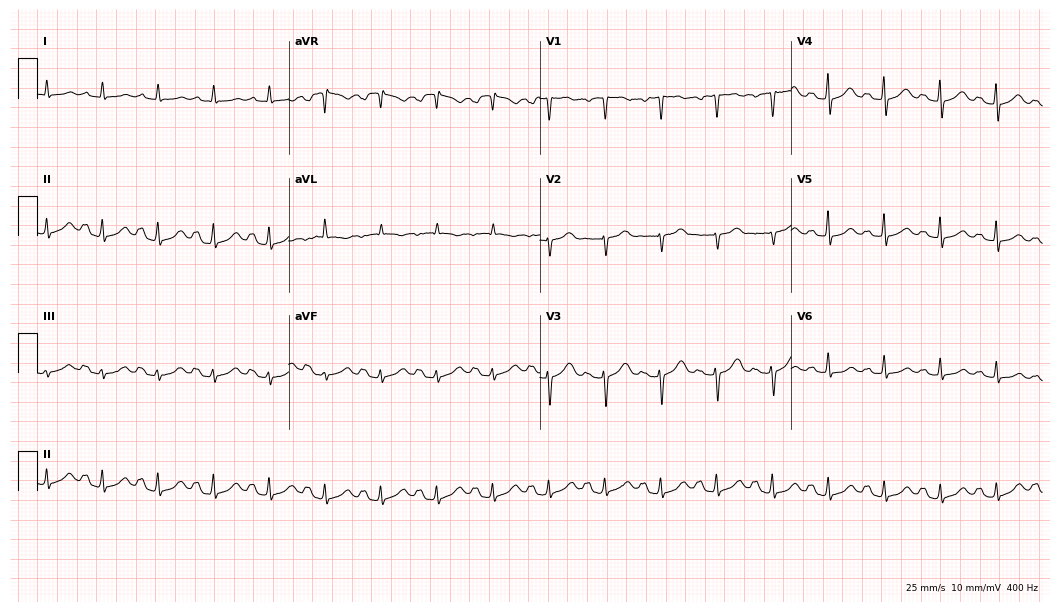
Resting 12-lead electrocardiogram (10.2-second recording at 400 Hz). Patient: a female, 84 years old. The tracing shows sinus tachycardia (a sinus rate of 100 beats per minute or more).